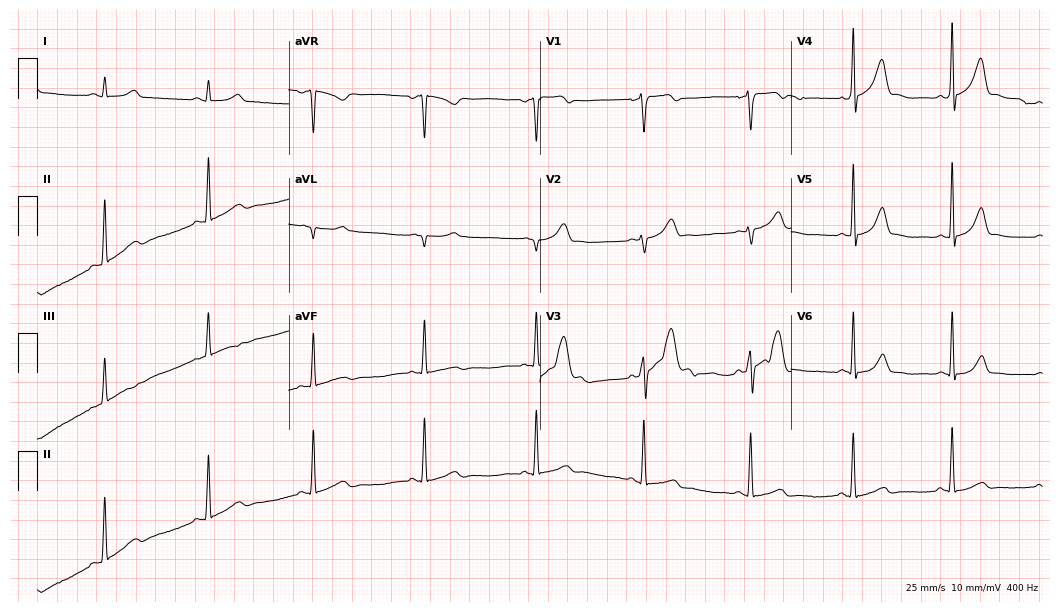
12-lead ECG (10.2-second recording at 400 Hz) from a male, 52 years old. Screened for six findings — first-degree AV block, right bundle branch block, left bundle branch block, sinus bradycardia, atrial fibrillation, sinus tachycardia — none is recorded. Only these six findings were labelled.